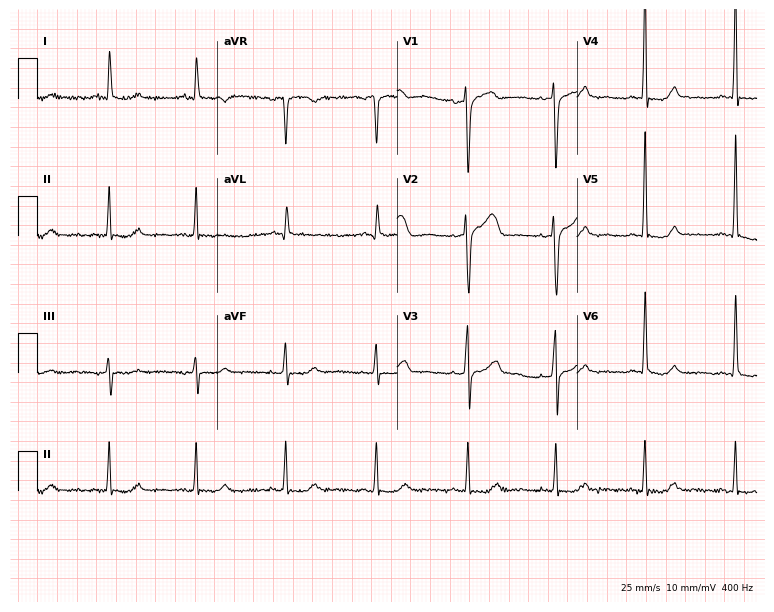
12-lead ECG (7.3-second recording at 400 Hz) from a 64-year-old female. Labelled as a normal ECG.